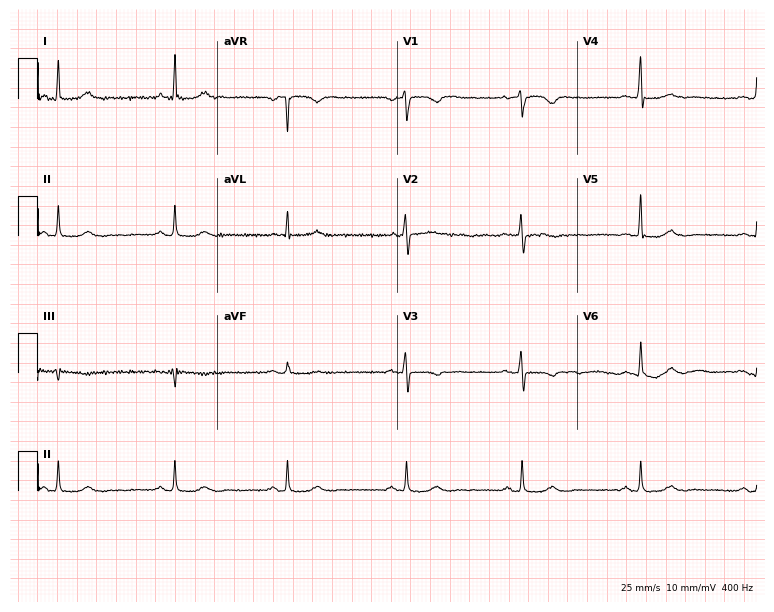
Electrocardiogram (7.3-second recording at 400 Hz), a 58-year-old woman. Of the six screened findings (first-degree AV block, right bundle branch block, left bundle branch block, sinus bradycardia, atrial fibrillation, sinus tachycardia), none is recorded. Findings outside these six are not listed.